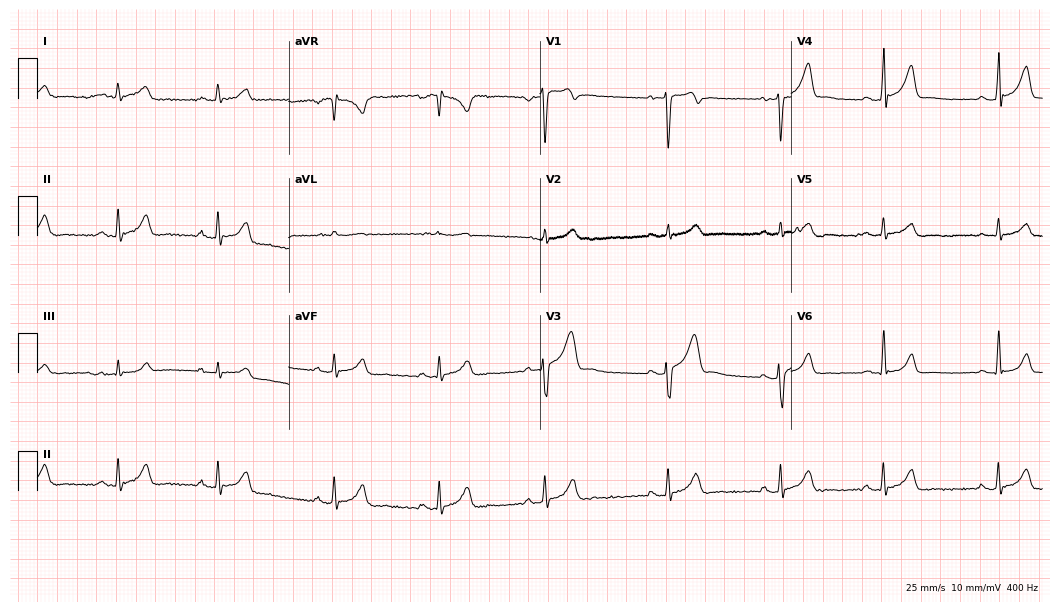
Standard 12-lead ECG recorded from a 25-year-old male. None of these six findings is recorded: first-degree AV block, right bundle branch block, left bundle branch block, sinus bradycardia, atrial fibrillation, sinus tachycardia. Other findings, if any, are not listed.